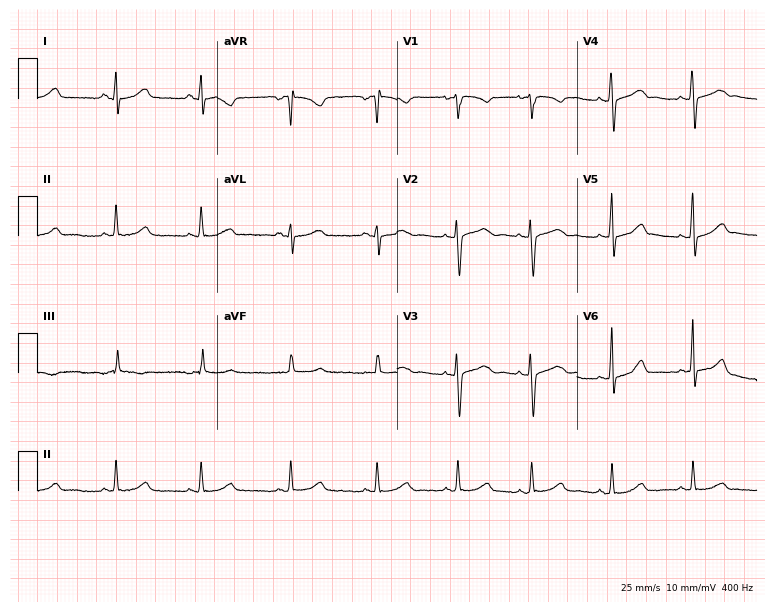
Standard 12-lead ECG recorded from a female patient, 28 years old. Read as a normal ECG.